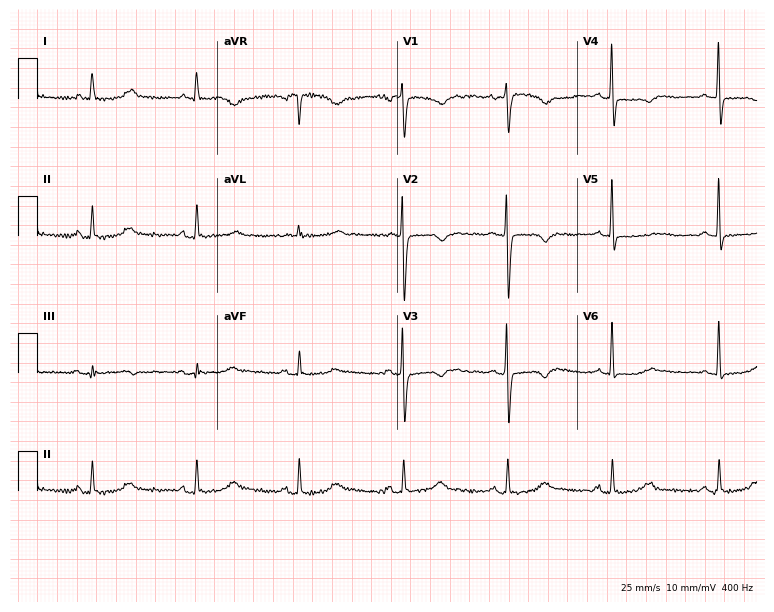
Resting 12-lead electrocardiogram (7.3-second recording at 400 Hz). Patient: a woman, 56 years old. None of these six findings is recorded: first-degree AV block, right bundle branch block (RBBB), left bundle branch block (LBBB), sinus bradycardia, atrial fibrillation (AF), sinus tachycardia.